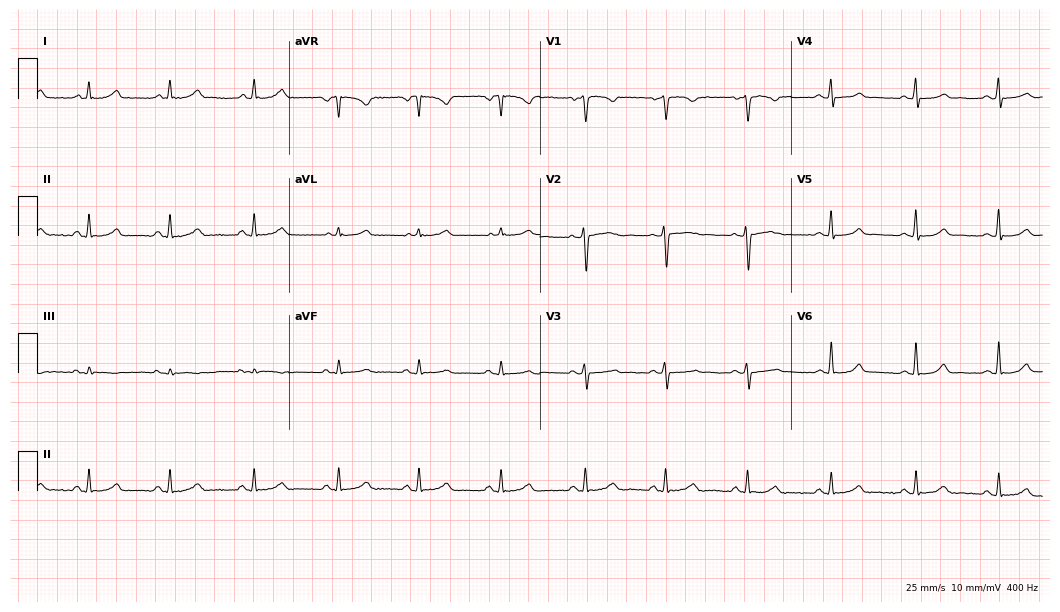
ECG (10.2-second recording at 400 Hz) — a 47-year-old female patient. Labelled as a normal ECG.